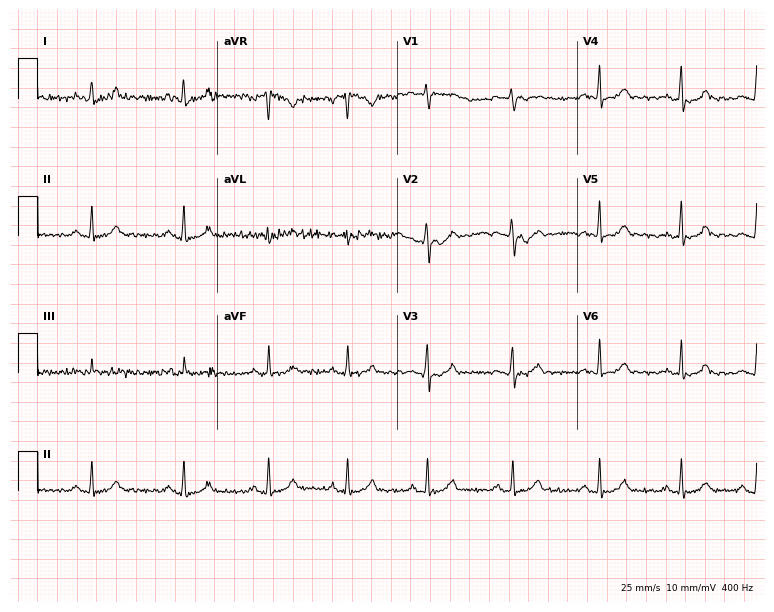
12-lead ECG from a female, 23 years old. Recorded interpretation: within normal limits.